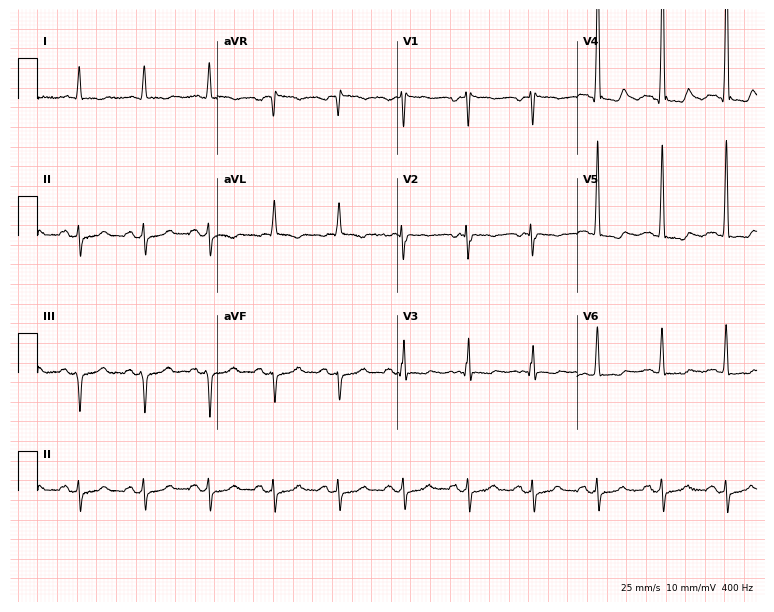
Electrocardiogram, an 83-year-old male. Of the six screened findings (first-degree AV block, right bundle branch block, left bundle branch block, sinus bradycardia, atrial fibrillation, sinus tachycardia), none is recorded.